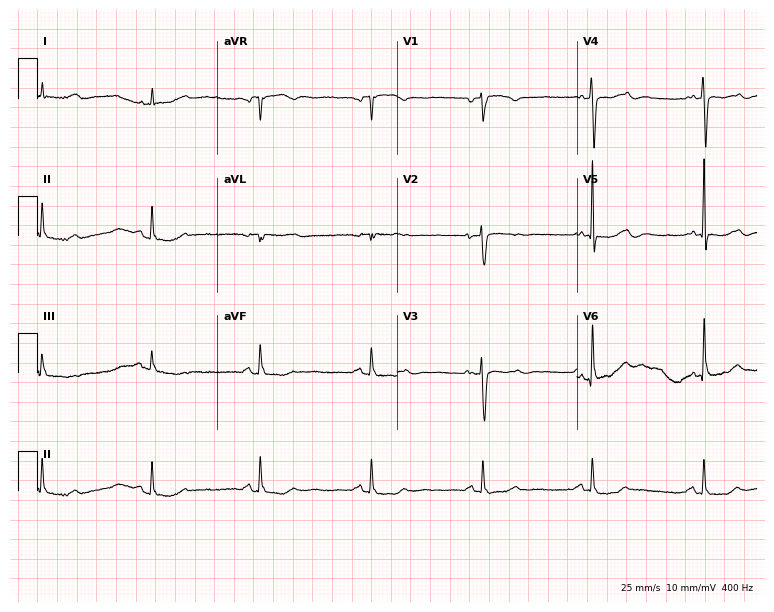
12-lead ECG from an 80-year-old female (7.3-second recording at 400 Hz). No first-degree AV block, right bundle branch block (RBBB), left bundle branch block (LBBB), sinus bradycardia, atrial fibrillation (AF) or sinus tachycardia recorded for this tracing. Other findings, if any, are not listed.